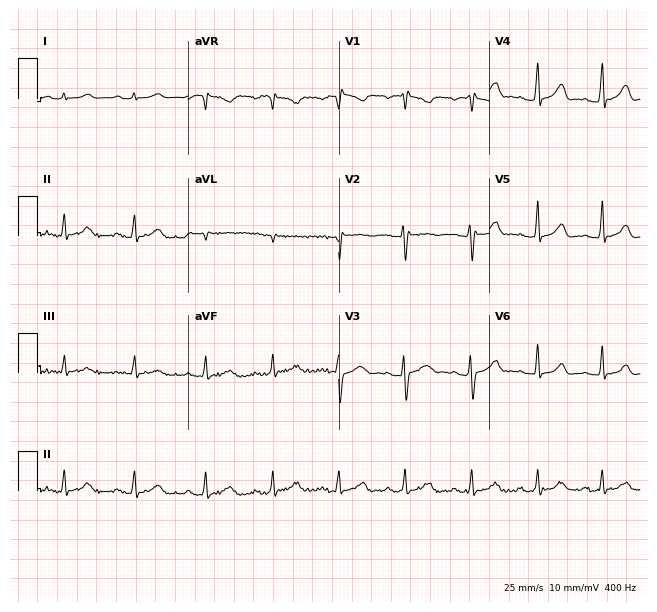
12-lead ECG from a 24-year-old woman (6.1-second recording at 400 Hz). No first-degree AV block, right bundle branch block (RBBB), left bundle branch block (LBBB), sinus bradycardia, atrial fibrillation (AF) or sinus tachycardia recorded for this tracing.